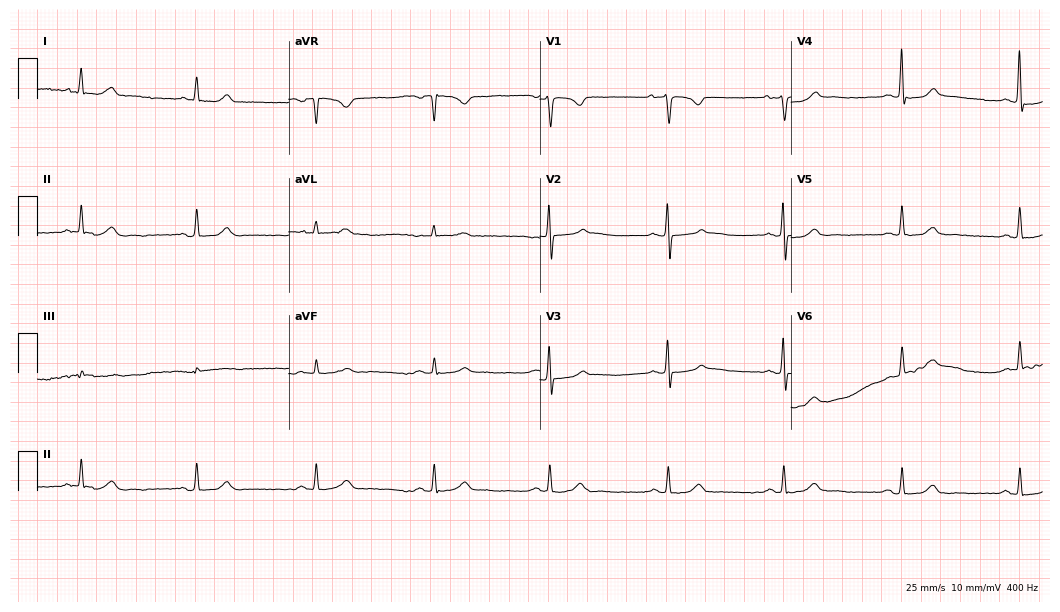
Electrocardiogram, a female patient, 55 years old. Overall reading on record: normal ECG.